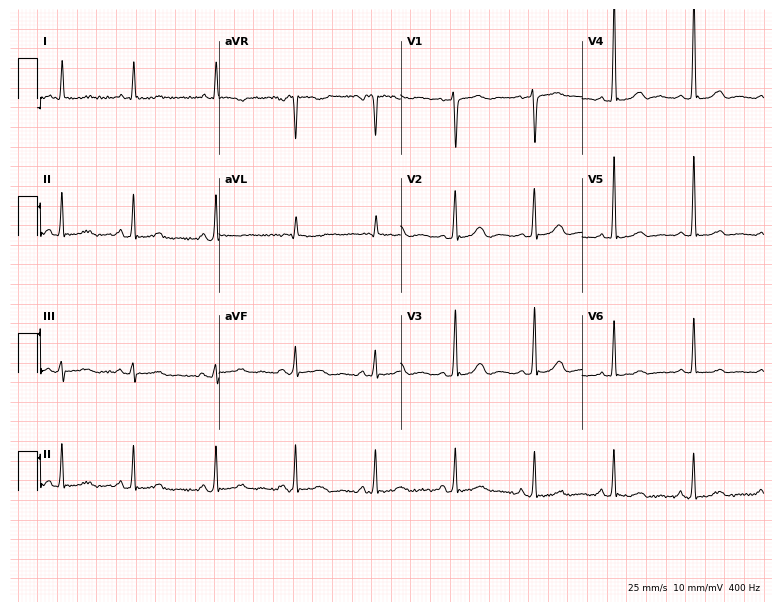
Resting 12-lead electrocardiogram (7.4-second recording at 400 Hz). Patient: a woman, 65 years old. None of these six findings is recorded: first-degree AV block, right bundle branch block, left bundle branch block, sinus bradycardia, atrial fibrillation, sinus tachycardia. Other findings, if any, are not listed.